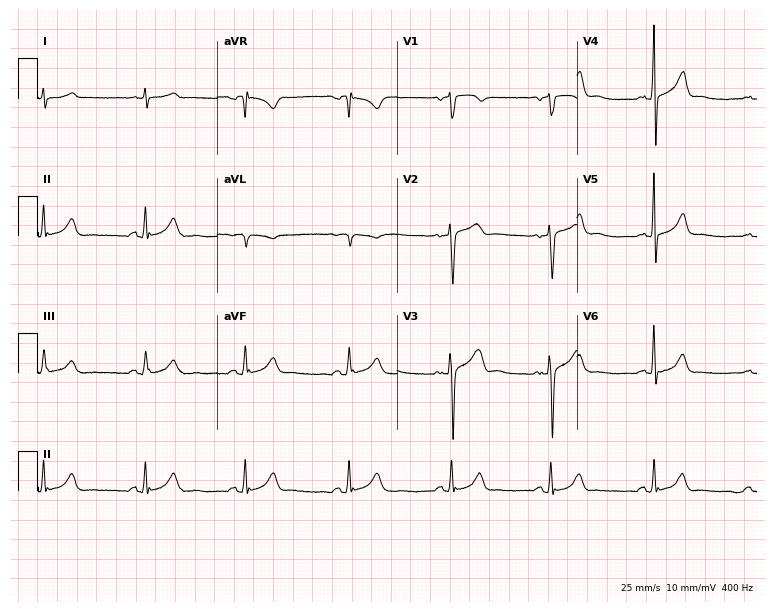
Standard 12-lead ECG recorded from a 58-year-old male patient. None of these six findings is recorded: first-degree AV block, right bundle branch block, left bundle branch block, sinus bradycardia, atrial fibrillation, sinus tachycardia.